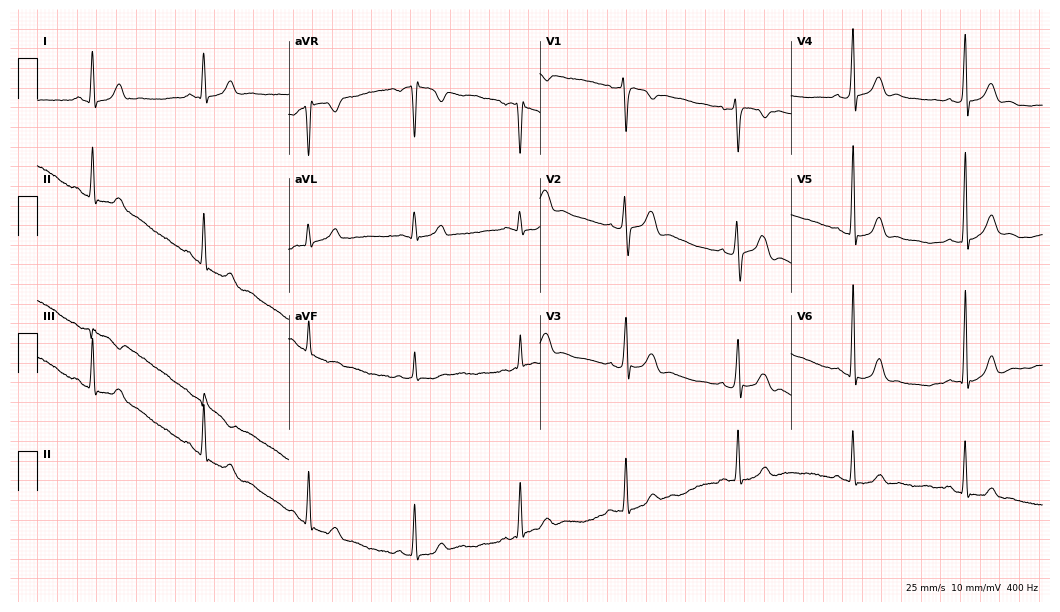
12-lead ECG from a male, 31 years old. Recorded interpretation: within normal limits.